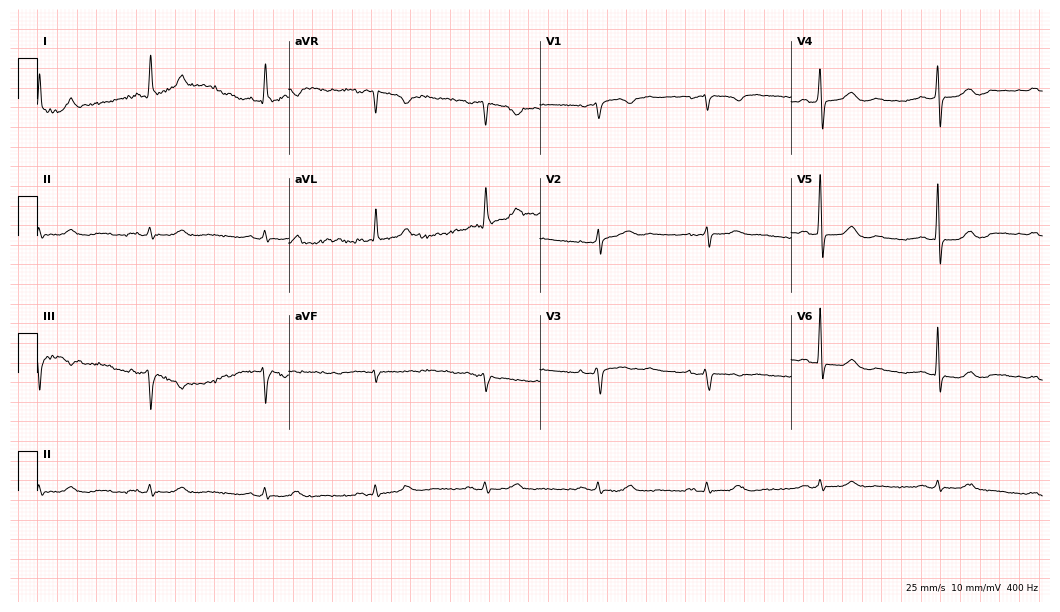
ECG — a male, 79 years old. Labelled as a normal ECG.